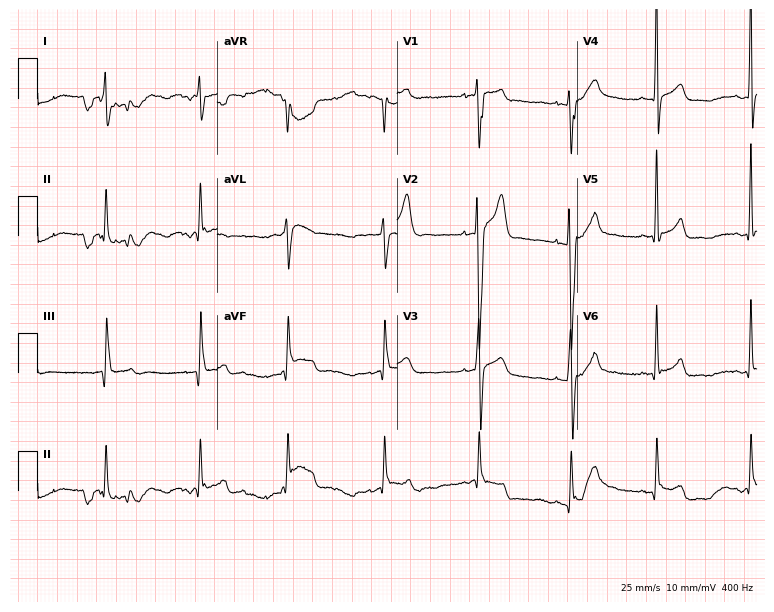
Standard 12-lead ECG recorded from a 19-year-old man (7.3-second recording at 400 Hz). Read as a normal ECG.